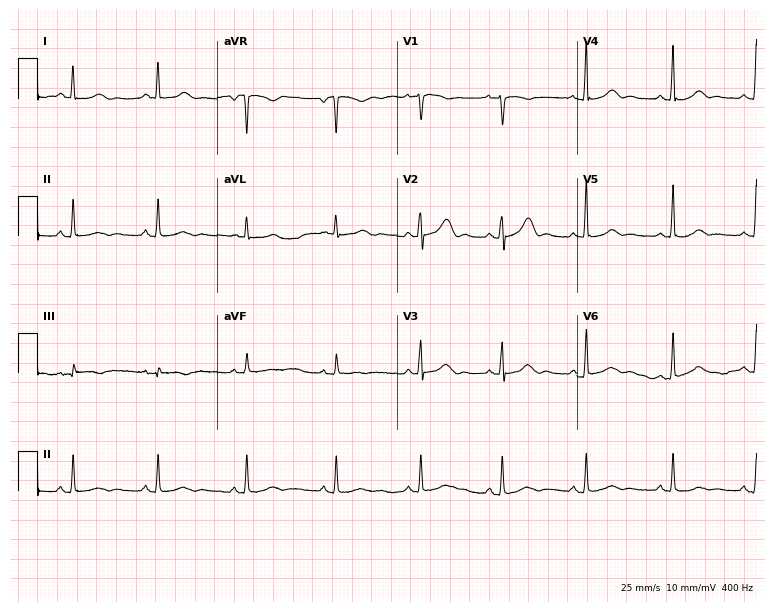
Resting 12-lead electrocardiogram (7.3-second recording at 400 Hz). Patient: a female, 32 years old. Read as a normal ECG.